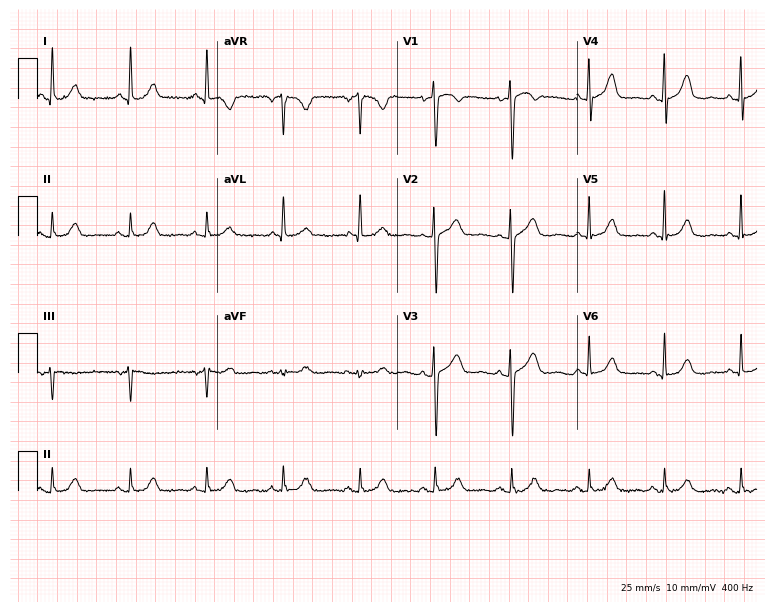
Resting 12-lead electrocardiogram (7.3-second recording at 400 Hz). Patient: a woman, 82 years old. Read as a normal ECG.